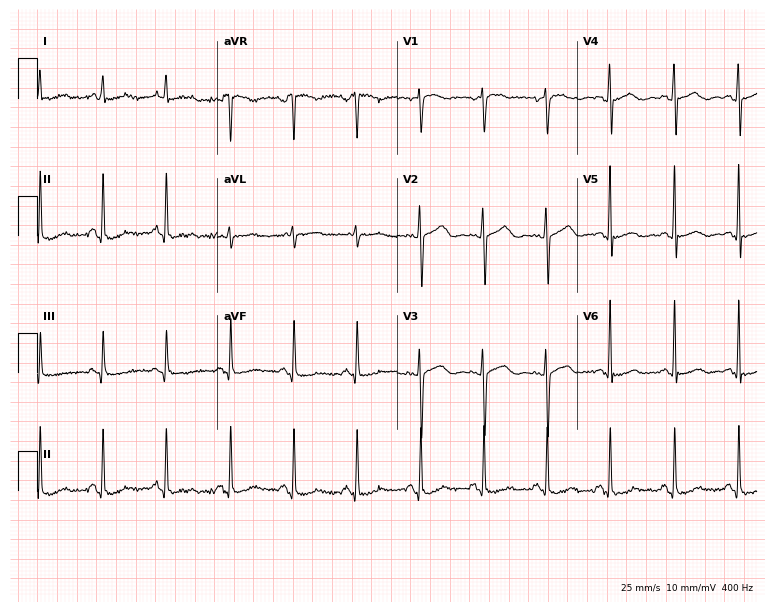
ECG — a female, 48 years old. Labelled as a normal ECG.